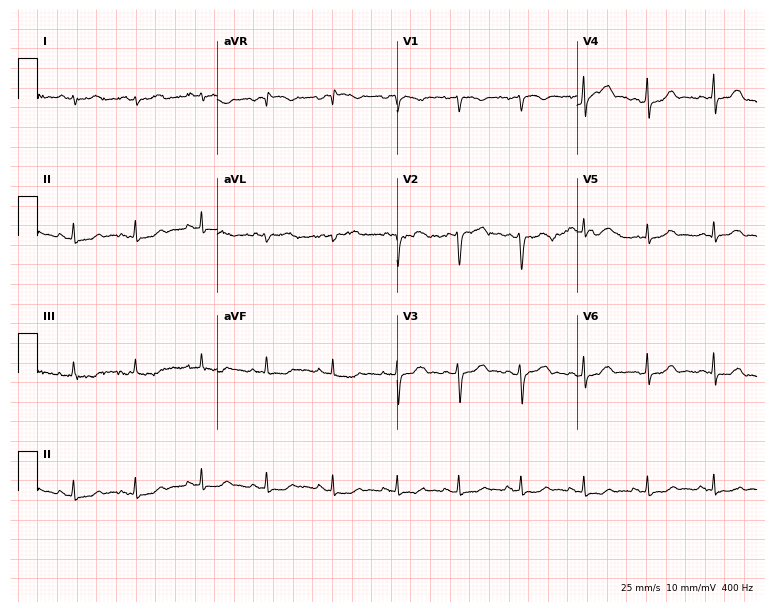
Resting 12-lead electrocardiogram (7.3-second recording at 400 Hz). Patient: a 31-year-old female. None of these six findings is recorded: first-degree AV block, right bundle branch block, left bundle branch block, sinus bradycardia, atrial fibrillation, sinus tachycardia.